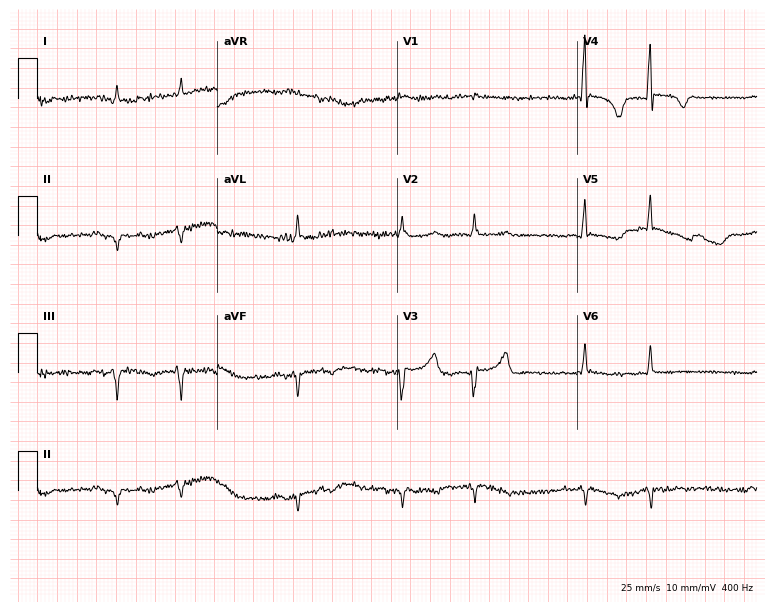
12-lead ECG from a female patient, 82 years old. No first-degree AV block, right bundle branch block, left bundle branch block, sinus bradycardia, atrial fibrillation or sinus tachycardia recorded for this tracing. Only these six findings were labelled.